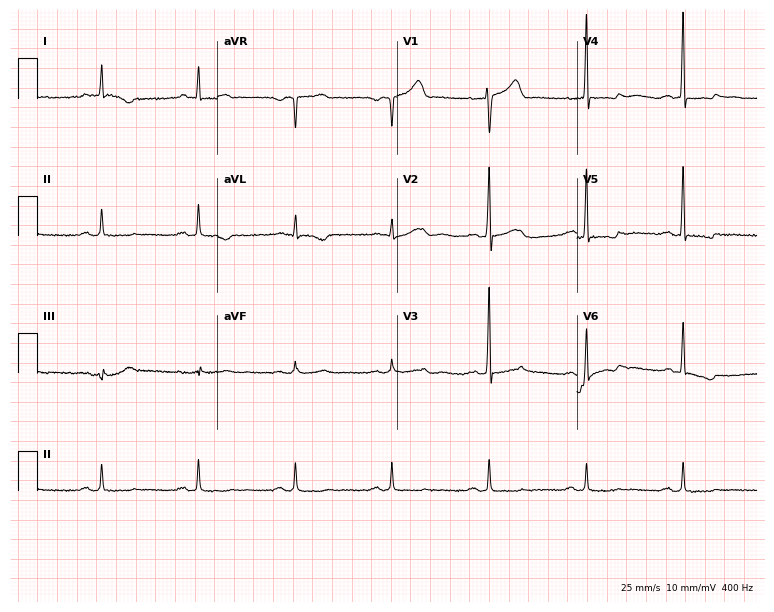
Electrocardiogram (7.3-second recording at 400 Hz), a male, 64 years old. Of the six screened findings (first-degree AV block, right bundle branch block (RBBB), left bundle branch block (LBBB), sinus bradycardia, atrial fibrillation (AF), sinus tachycardia), none is recorded. Findings outside these six are not listed.